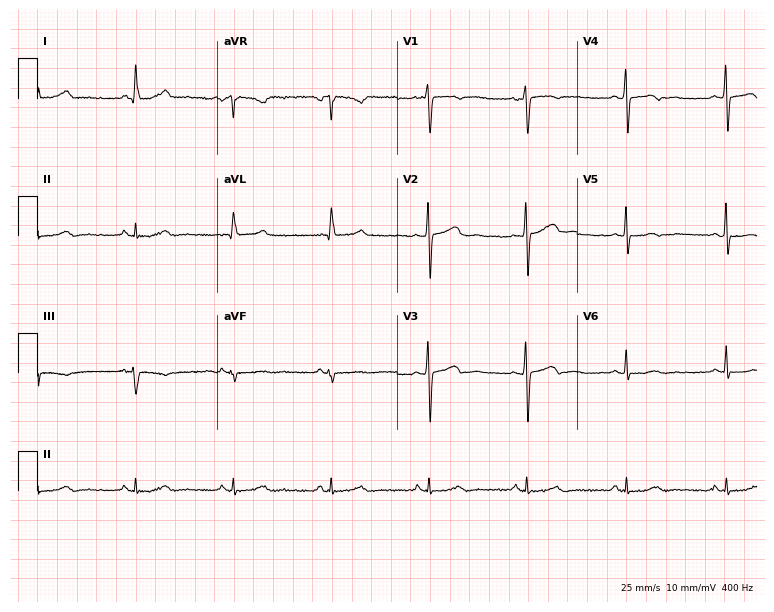
12-lead ECG (7.3-second recording at 400 Hz) from a 48-year-old woman. Screened for six findings — first-degree AV block, right bundle branch block, left bundle branch block, sinus bradycardia, atrial fibrillation, sinus tachycardia — none is recorded. Other findings, if any, are not listed.